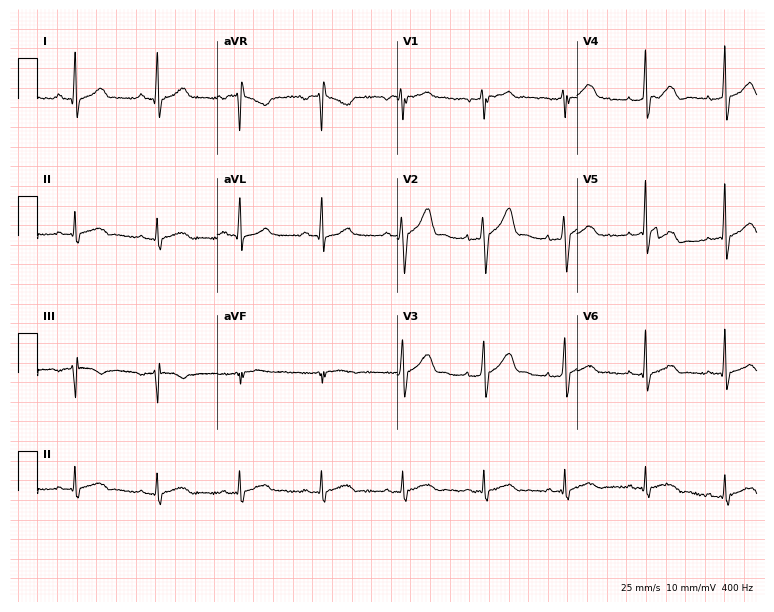
Resting 12-lead electrocardiogram. Patient: a 31-year-old male. Read as a normal ECG.